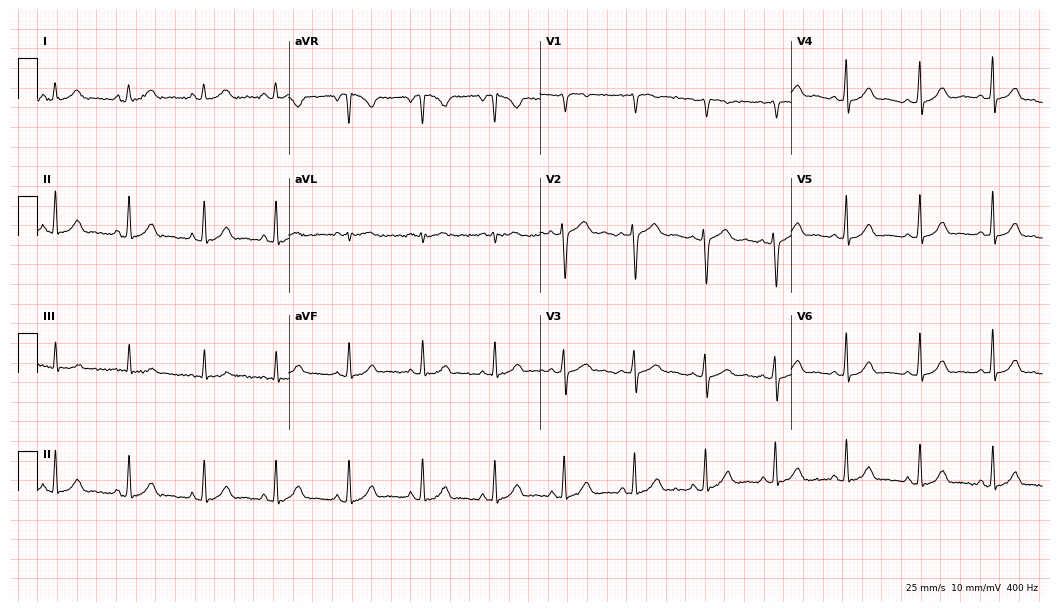
Electrocardiogram, a female patient, 35 years old. Overall reading on record: normal ECG.